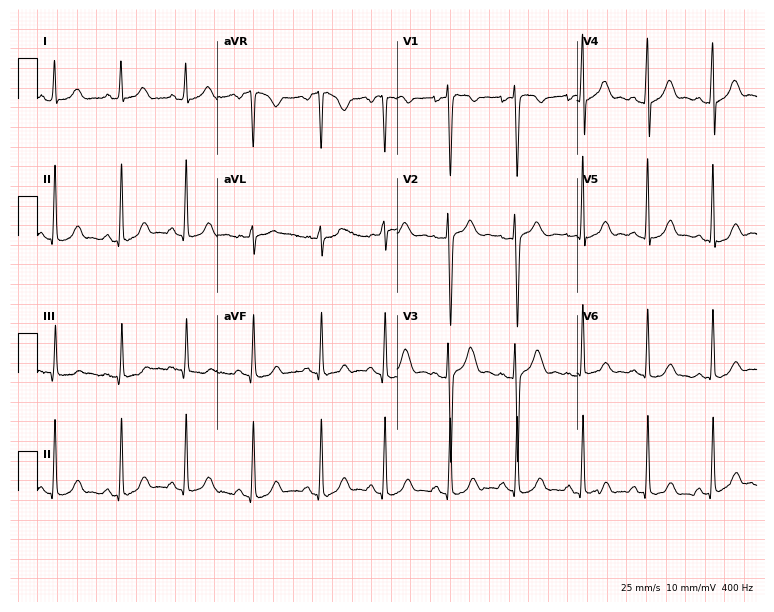
ECG — a female patient, 21 years old. Labelled as a normal ECG.